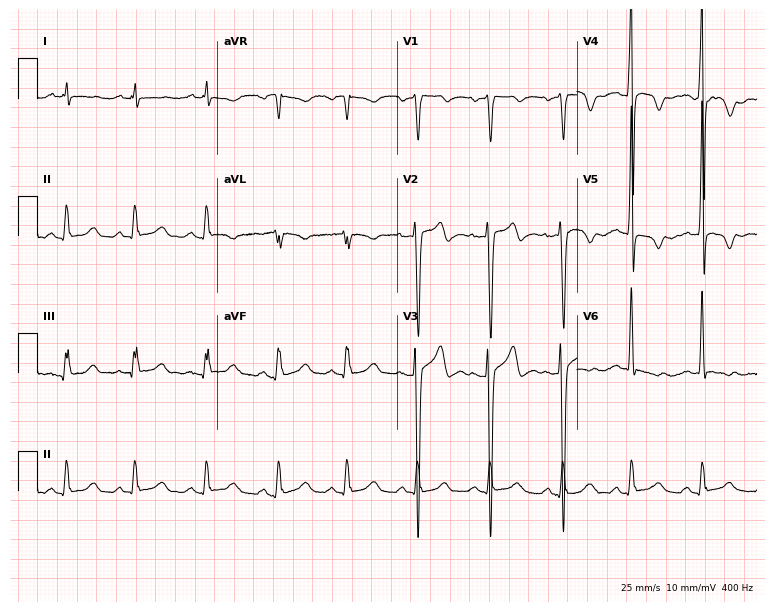
12-lead ECG from a male patient, 44 years old (7.3-second recording at 400 Hz). No first-degree AV block, right bundle branch block, left bundle branch block, sinus bradycardia, atrial fibrillation or sinus tachycardia recorded for this tracing. Findings outside these six are not listed.